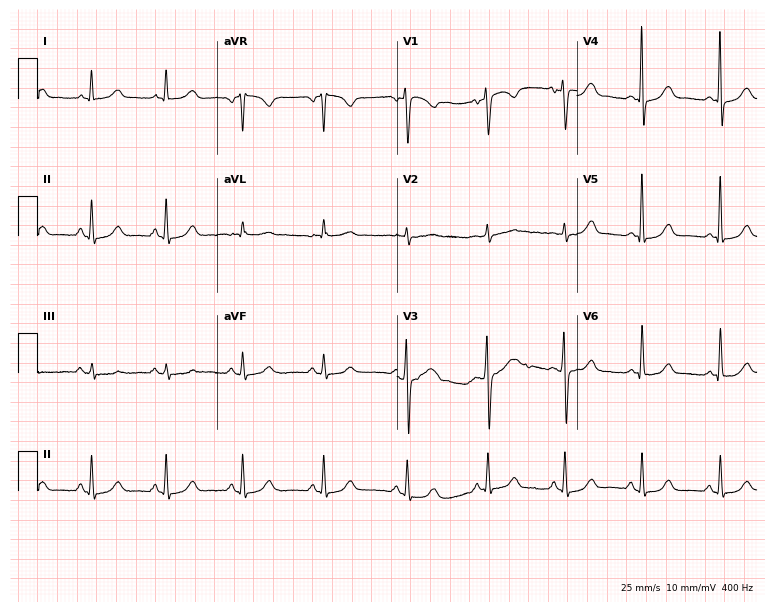
Resting 12-lead electrocardiogram. Patient: a woman, 45 years old. Read as a normal ECG.